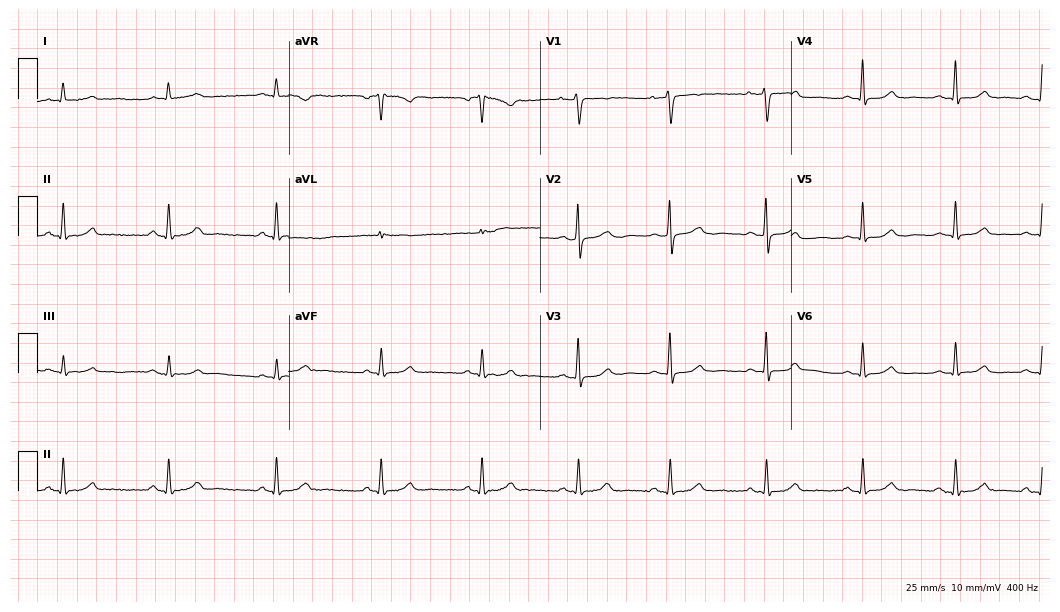
12-lead ECG (10.2-second recording at 400 Hz) from a 64-year-old female patient. Labelled as a normal ECG.